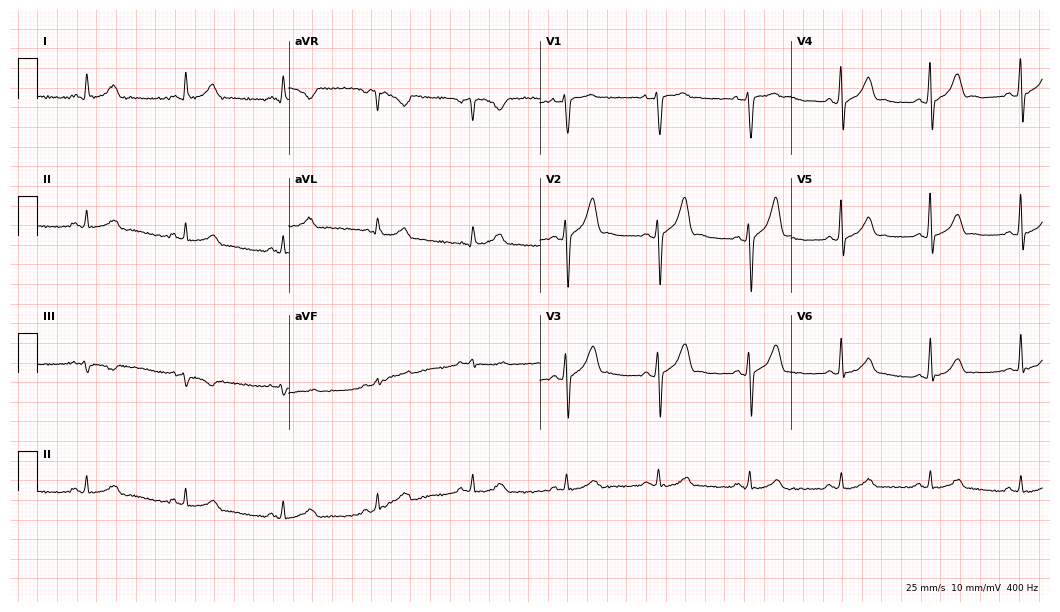
Resting 12-lead electrocardiogram. Patient: a male, 50 years old. Read as a normal ECG.